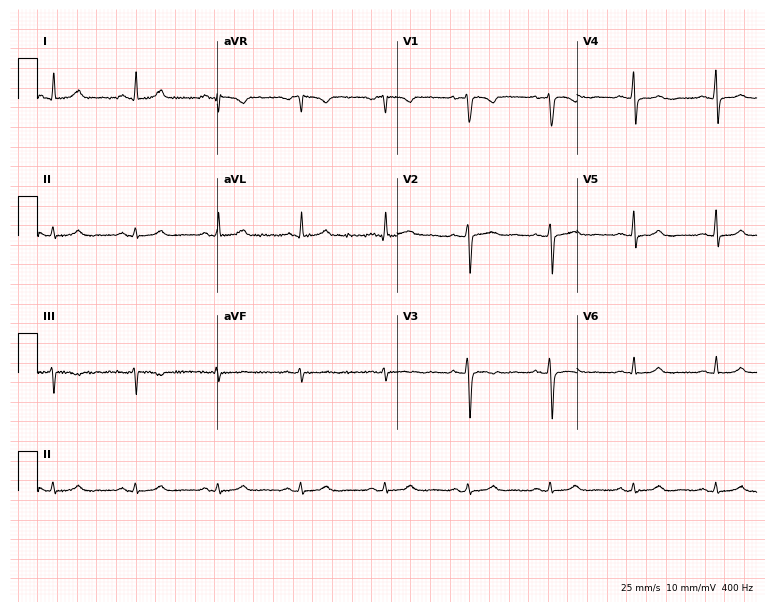
12-lead ECG (7.3-second recording at 400 Hz) from a 38-year-old female patient. Screened for six findings — first-degree AV block, right bundle branch block (RBBB), left bundle branch block (LBBB), sinus bradycardia, atrial fibrillation (AF), sinus tachycardia — none is recorded.